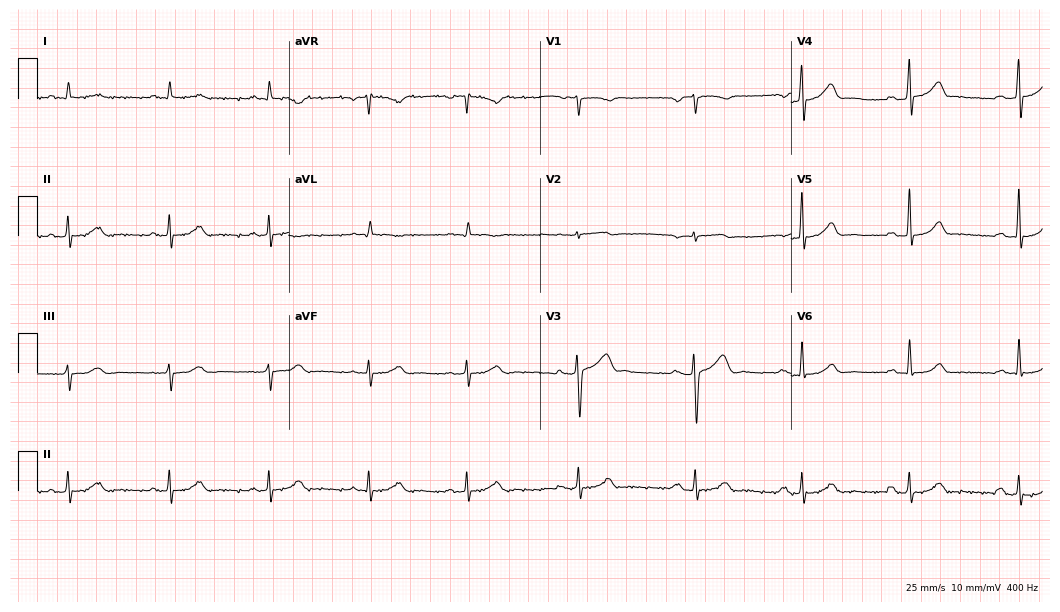
12-lead ECG from a 71-year-old man (10.2-second recording at 400 Hz). No first-degree AV block, right bundle branch block, left bundle branch block, sinus bradycardia, atrial fibrillation or sinus tachycardia recorded for this tracing.